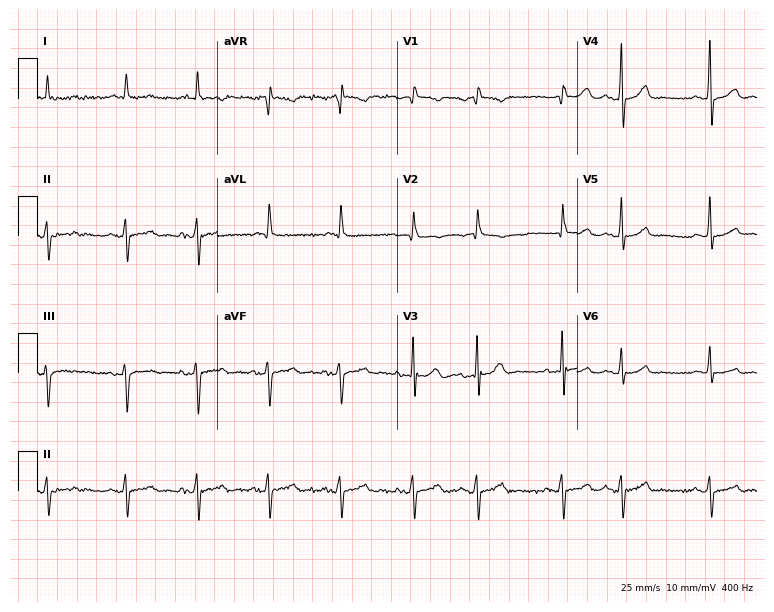
Standard 12-lead ECG recorded from a male patient, 63 years old. None of these six findings is recorded: first-degree AV block, right bundle branch block, left bundle branch block, sinus bradycardia, atrial fibrillation, sinus tachycardia.